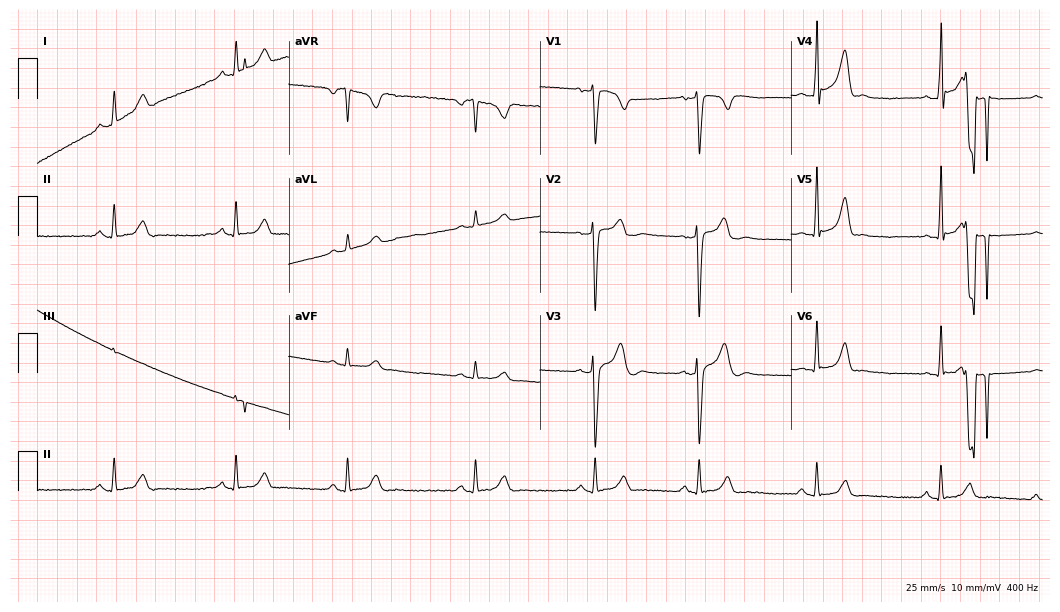
Resting 12-lead electrocardiogram (10.2-second recording at 400 Hz). Patient: a male, 38 years old. None of these six findings is recorded: first-degree AV block, right bundle branch block, left bundle branch block, sinus bradycardia, atrial fibrillation, sinus tachycardia.